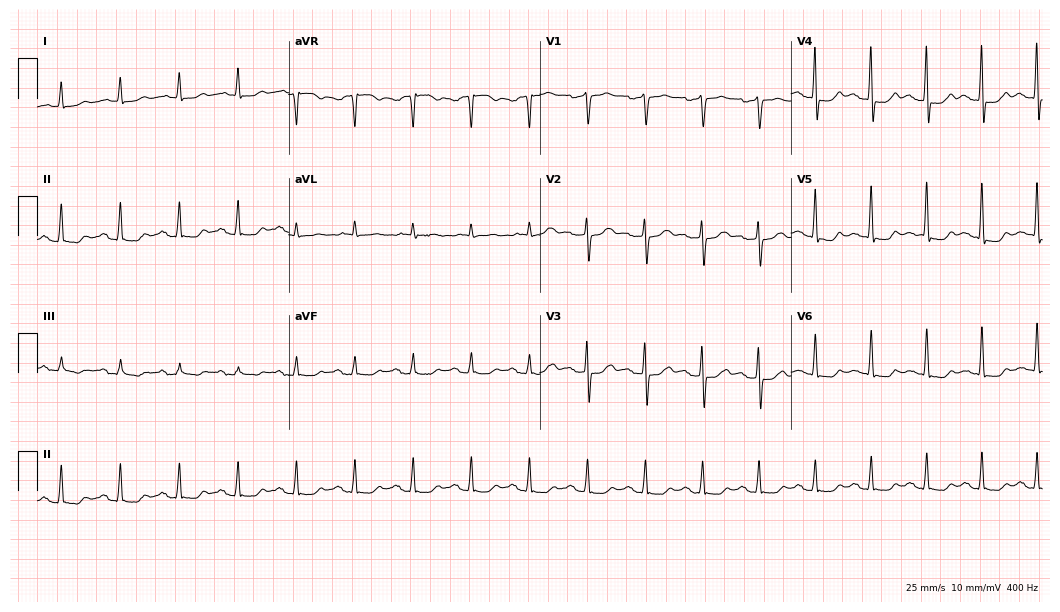
Resting 12-lead electrocardiogram. Patient: a male, 73 years old. None of these six findings is recorded: first-degree AV block, right bundle branch block (RBBB), left bundle branch block (LBBB), sinus bradycardia, atrial fibrillation (AF), sinus tachycardia. Only these six findings were labelled.